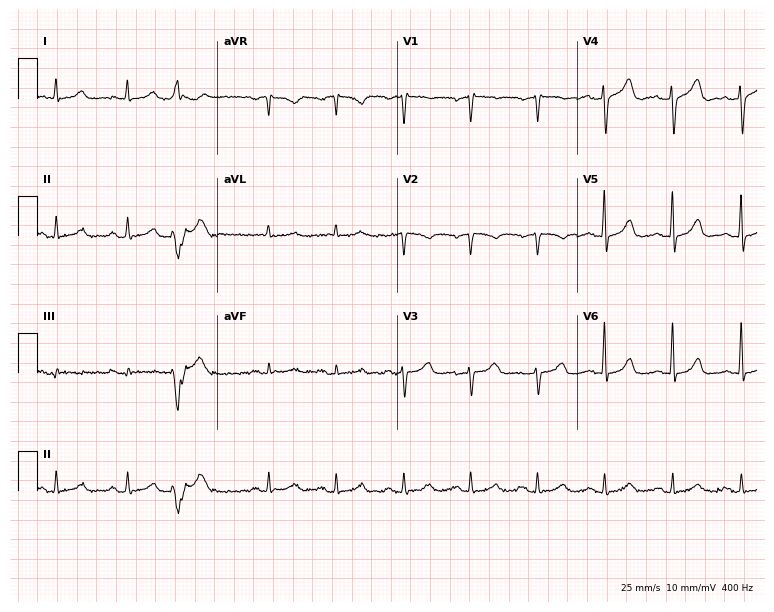
ECG (7.3-second recording at 400 Hz) — a male patient, 69 years old. Screened for six findings — first-degree AV block, right bundle branch block, left bundle branch block, sinus bradycardia, atrial fibrillation, sinus tachycardia — none is recorded.